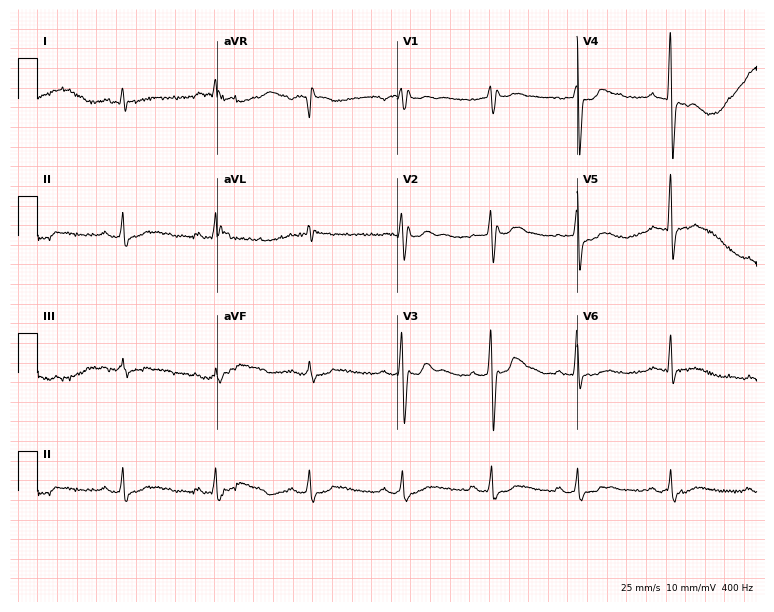
Electrocardiogram, a man, 46 years old. Of the six screened findings (first-degree AV block, right bundle branch block (RBBB), left bundle branch block (LBBB), sinus bradycardia, atrial fibrillation (AF), sinus tachycardia), none is recorded. Findings outside these six are not listed.